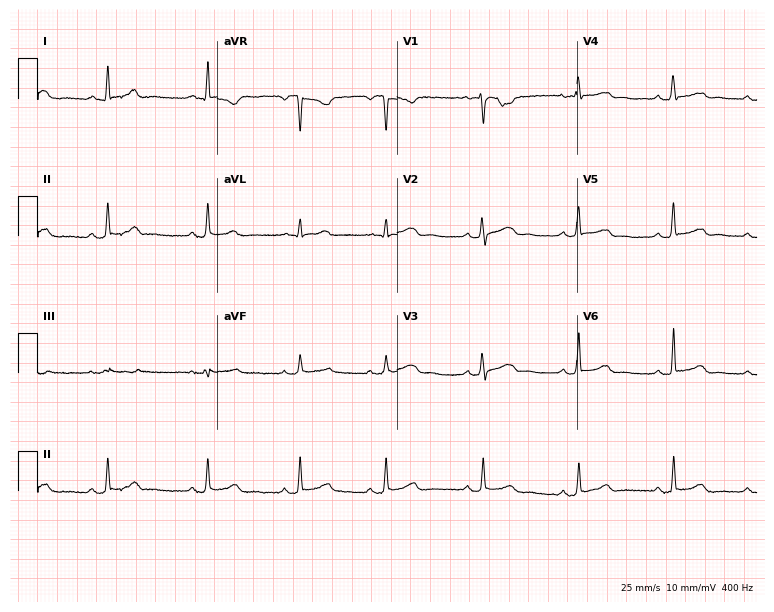
12-lead ECG from a 42-year-old female. Screened for six findings — first-degree AV block, right bundle branch block, left bundle branch block, sinus bradycardia, atrial fibrillation, sinus tachycardia — none is recorded. Only these six findings were labelled.